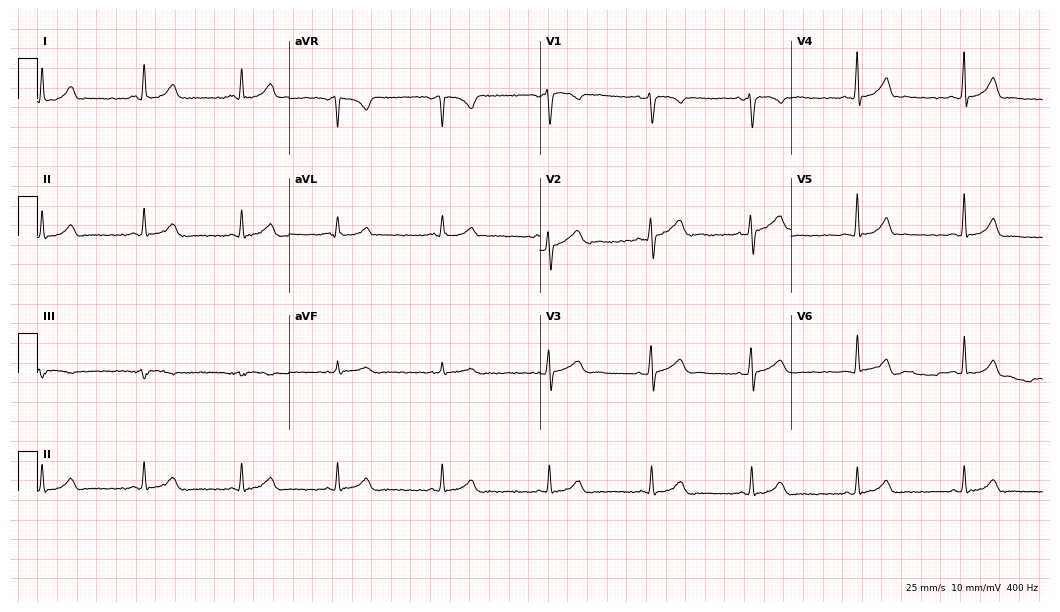
Resting 12-lead electrocardiogram (10.2-second recording at 400 Hz). Patient: a female, 33 years old. None of these six findings is recorded: first-degree AV block, right bundle branch block, left bundle branch block, sinus bradycardia, atrial fibrillation, sinus tachycardia. Only these six findings were labelled.